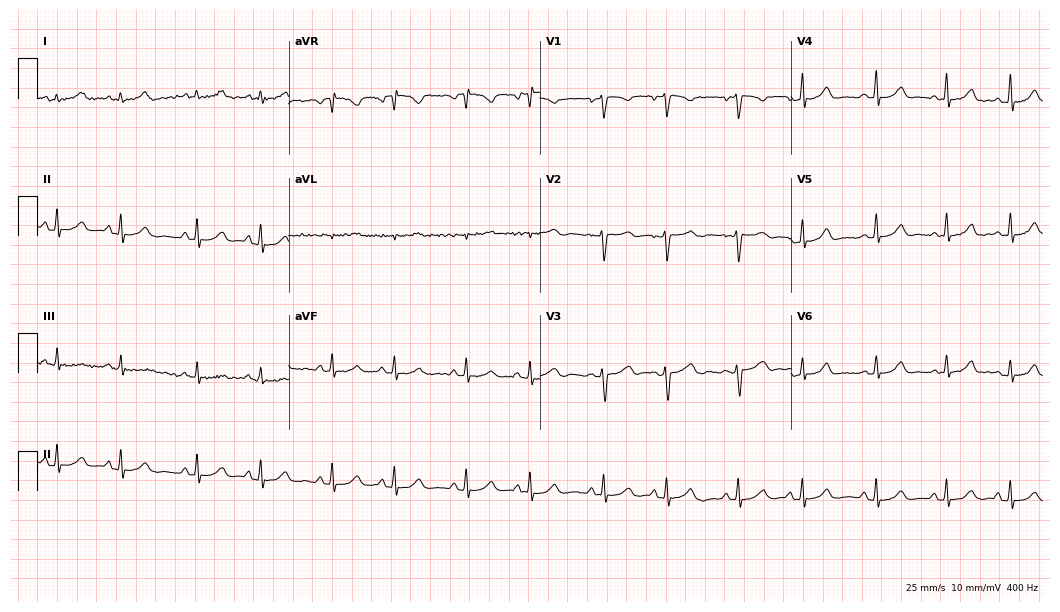
Resting 12-lead electrocardiogram (10.2-second recording at 400 Hz). Patient: a 30-year-old female. Read as a normal ECG.